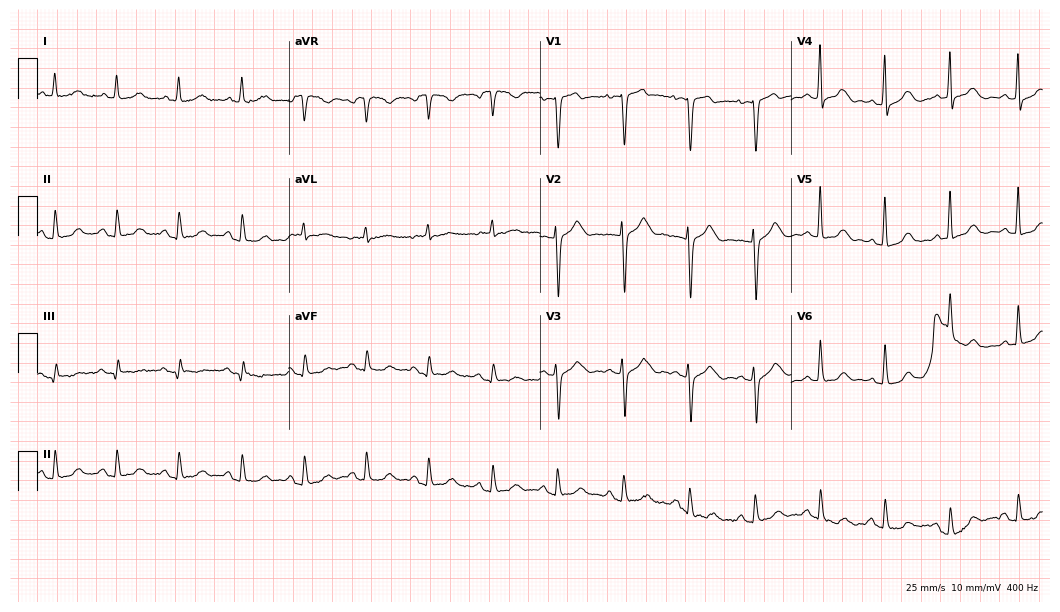
Standard 12-lead ECG recorded from a 66-year-old woman. Read as a normal ECG.